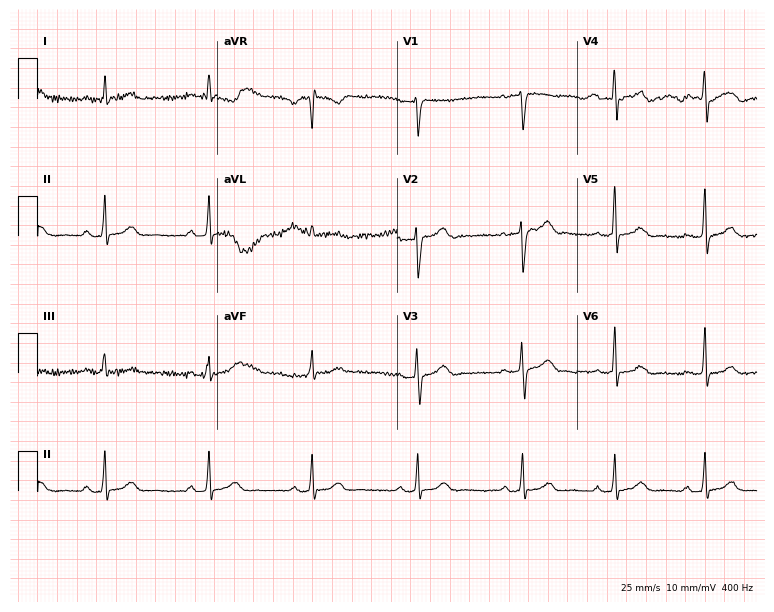
Resting 12-lead electrocardiogram (7.3-second recording at 400 Hz). Patient: a female, 32 years old. Read as a normal ECG.